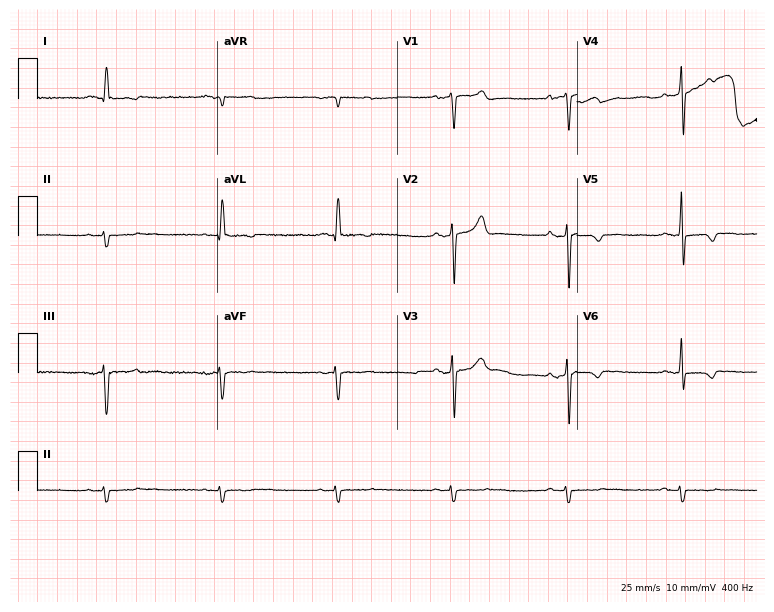
Resting 12-lead electrocardiogram (7.3-second recording at 400 Hz). Patient: a male, 77 years old. None of these six findings is recorded: first-degree AV block, right bundle branch block, left bundle branch block, sinus bradycardia, atrial fibrillation, sinus tachycardia. Other findings, if any, are not listed.